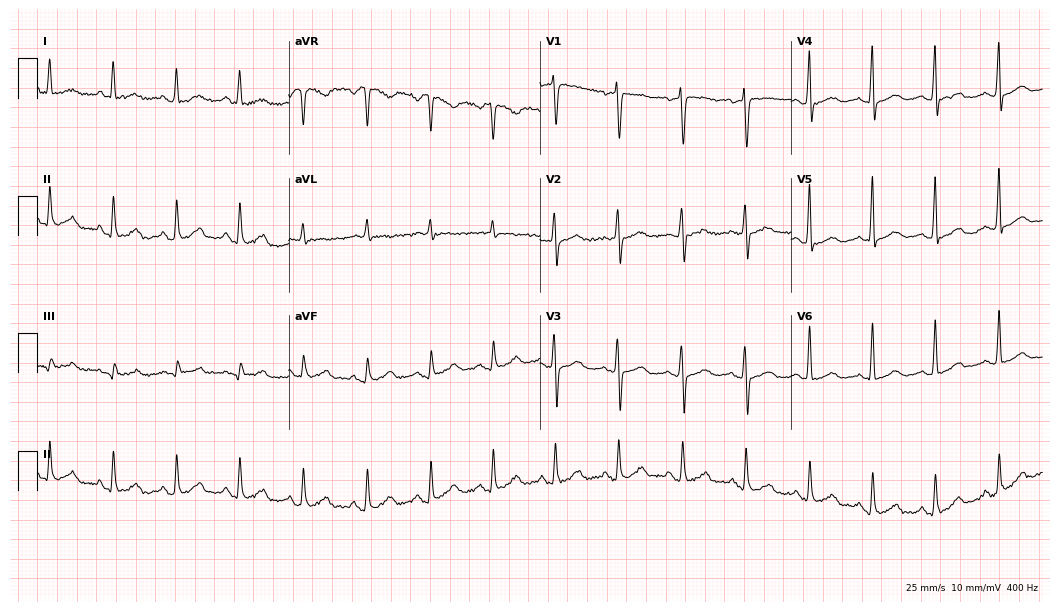
12-lead ECG from a 62-year-old female. No first-degree AV block, right bundle branch block, left bundle branch block, sinus bradycardia, atrial fibrillation or sinus tachycardia recorded for this tracing.